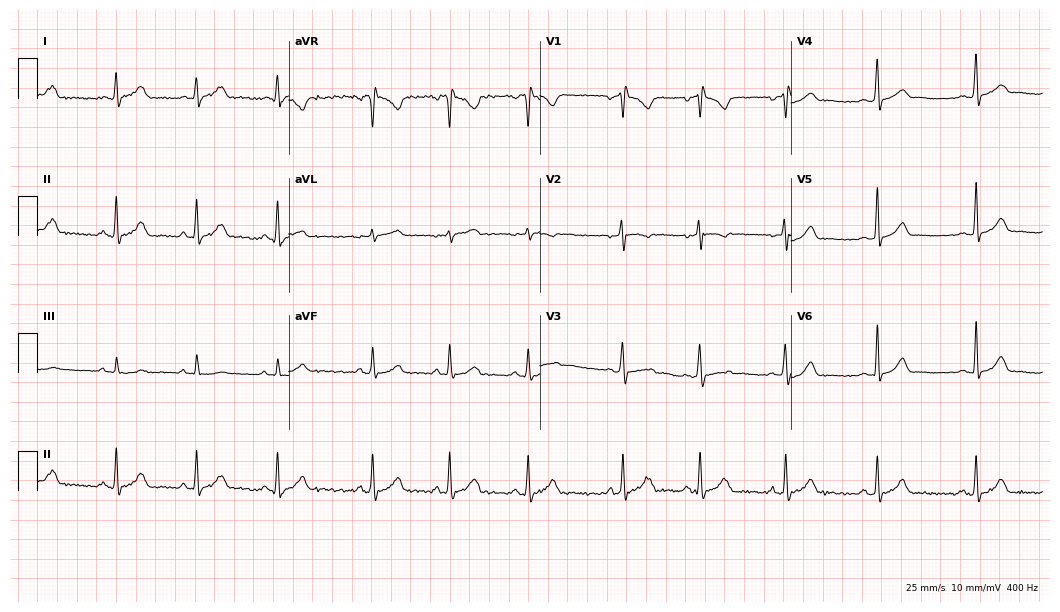
Standard 12-lead ECG recorded from a female, 18 years old (10.2-second recording at 400 Hz). None of these six findings is recorded: first-degree AV block, right bundle branch block, left bundle branch block, sinus bradycardia, atrial fibrillation, sinus tachycardia.